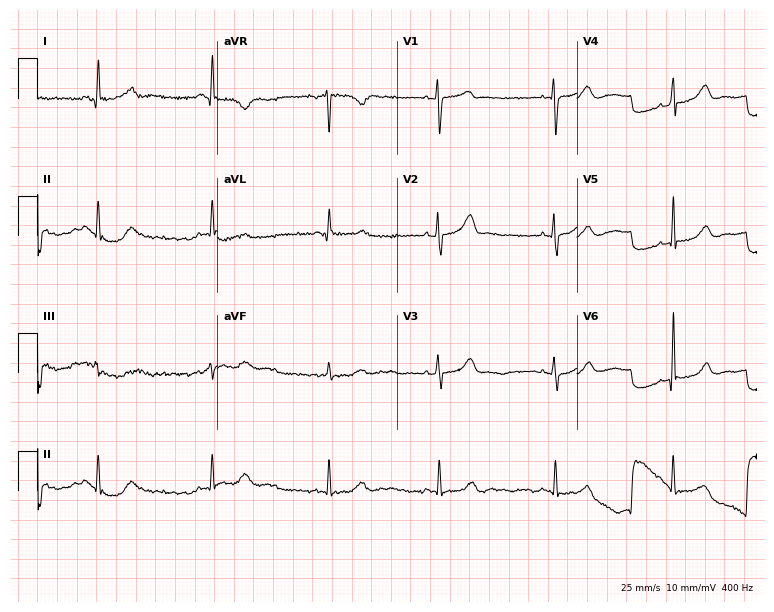
ECG — a woman, 48 years old. Labelled as a normal ECG.